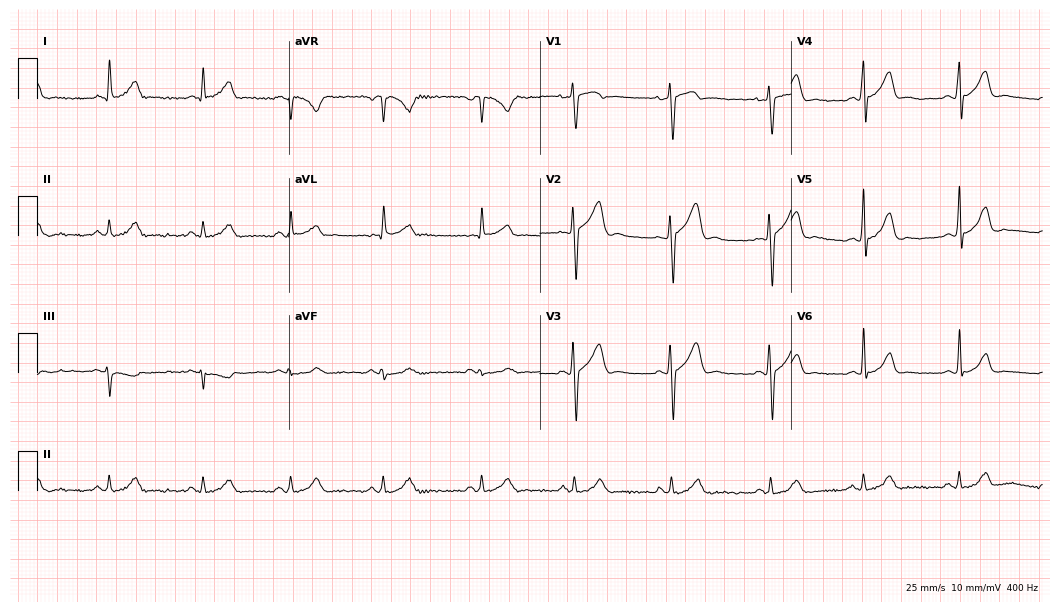
ECG (10.2-second recording at 400 Hz) — a male, 34 years old. Labelled as a normal ECG.